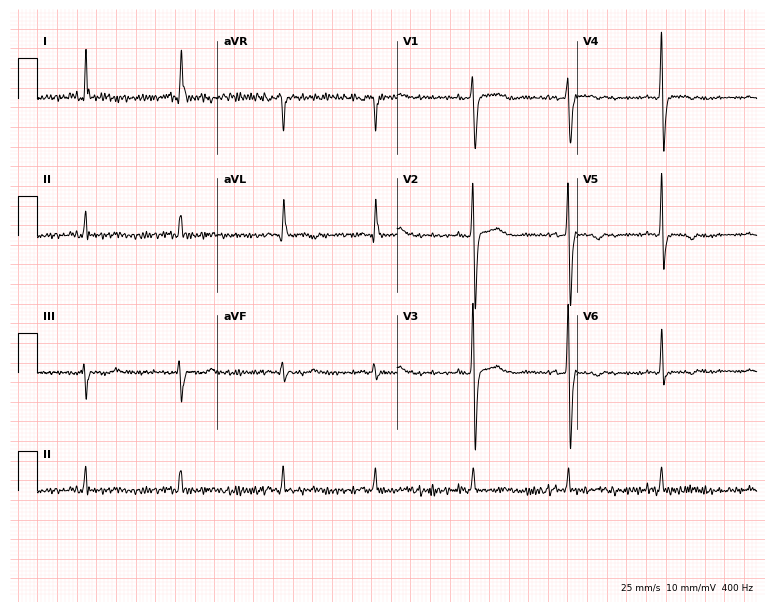
ECG (7.3-second recording at 400 Hz) — a woman, 55 years old. Screened for six findings — first-degree AV block, right bundle branch block, left bundle branch block, sinus bradycardia, atrial fibrillation, sinus tachycardia — none is recorded. Findings outside these six are not listed.